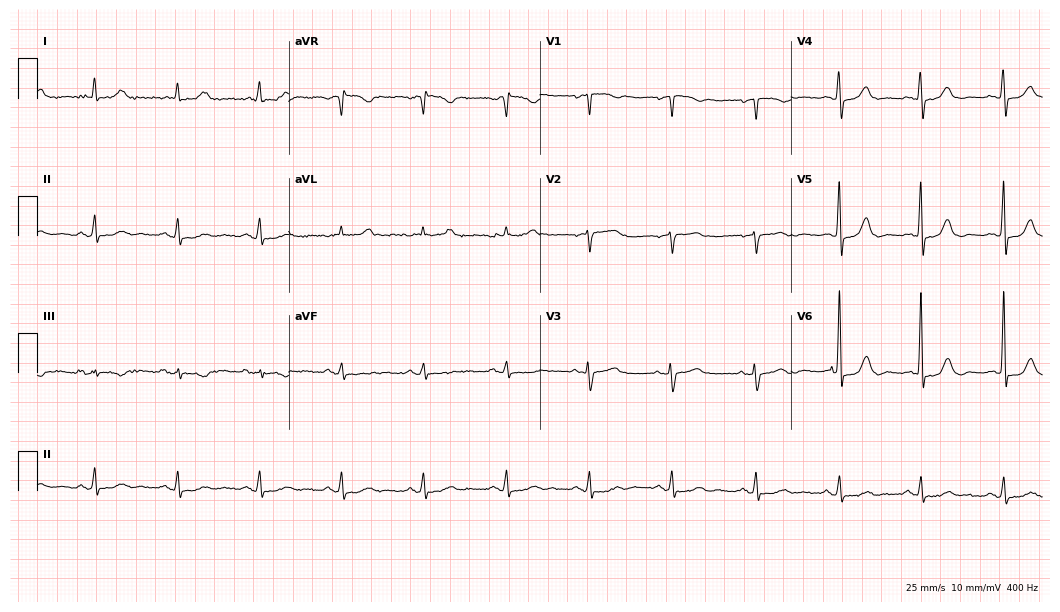
Resting 12-lead electrocardiogram. Patient: a female, 84 years old. None of these six findings is recorded: first-degree AV block, right bundle branch block, left bundle branch block, sinus bradycardia, atrial fibrillation, sinus tachycardia.